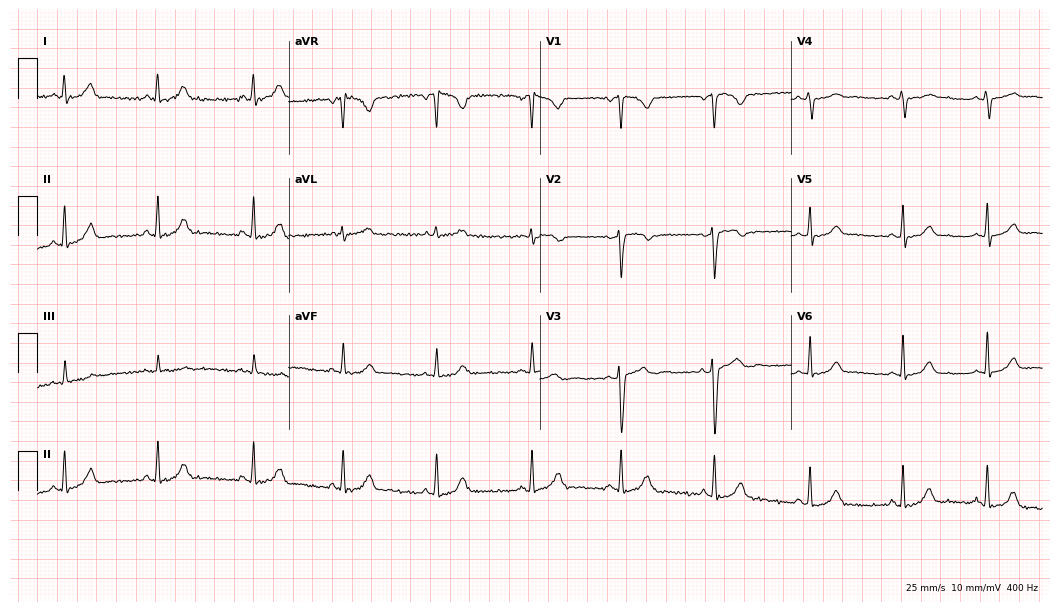
12-lead ECG (10.2-second recording at 400 Hz) from a 30-year-old woman. Screened for six findings — first-degree AV block, right bundle branch block, left bundle branch block, sinus bradycardia, atrial fibrillation, sinus tachycardia — none is recorded. Findings outside these six are not listed.